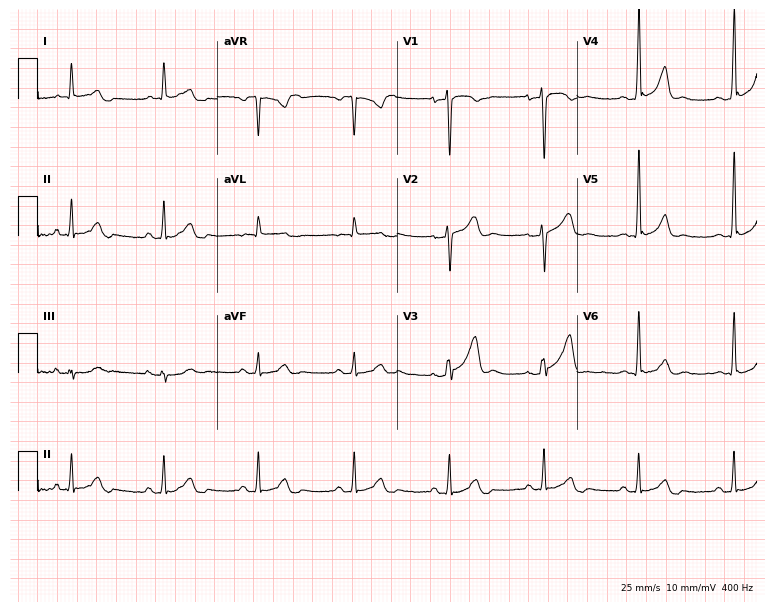
12-lead ECG (7.3-second recording at 400 Hz) from a 65-year-old male. Labelled as a normal ECG.